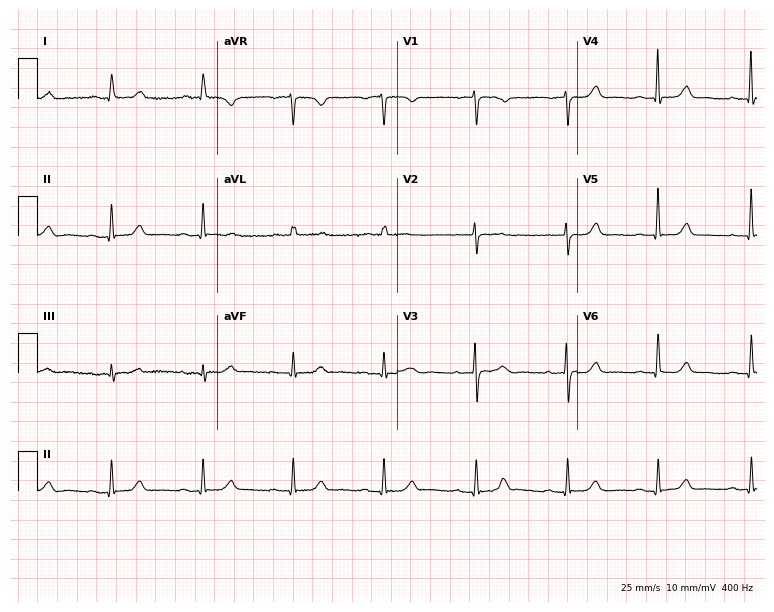
ECG — a woman, 75 years old. Labelled as a normal ECG.